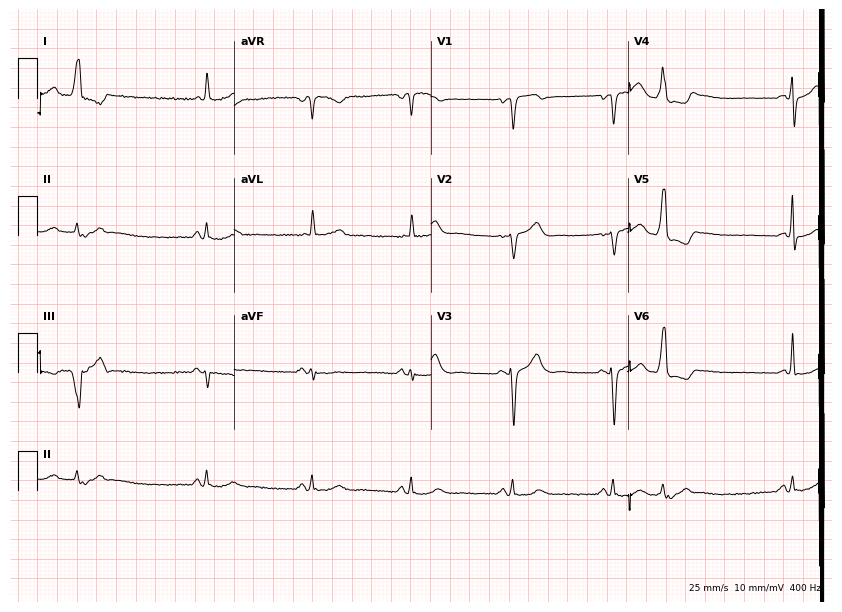
Resting 12-lead electrocardiogram. Patient: a female, 84 years old. None of these six findings is recorded: first-degree AV block, right bundle branch block, left bundle branch block, sinus bradycardia, atrial fibrillation, sinus tachycardia.